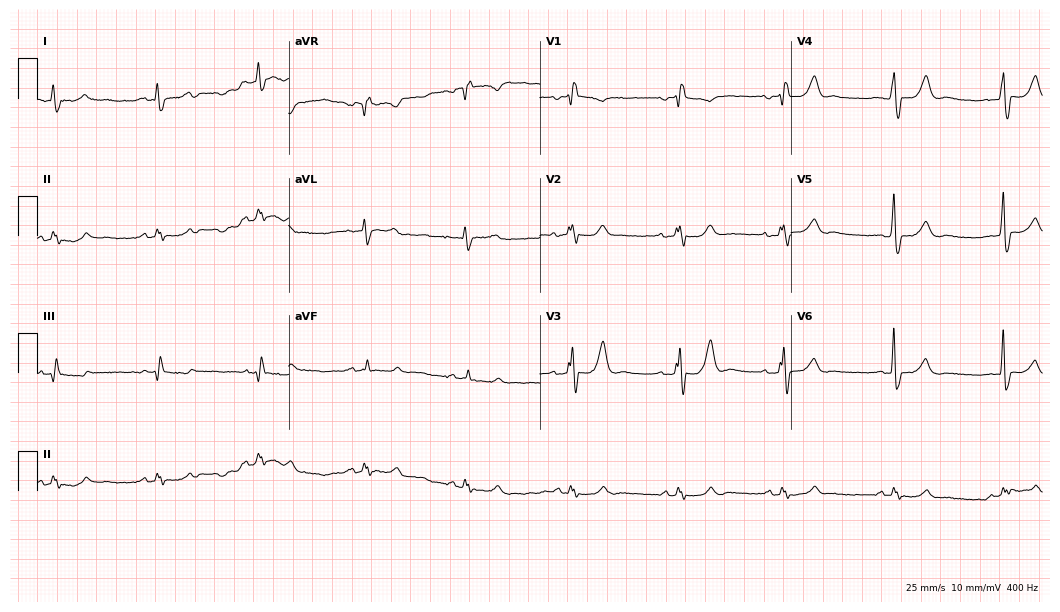
12-lead ECG from a male, 82 years old (10.2-second recording at 400 Hz). Shows right bundle branch block (RBBB).